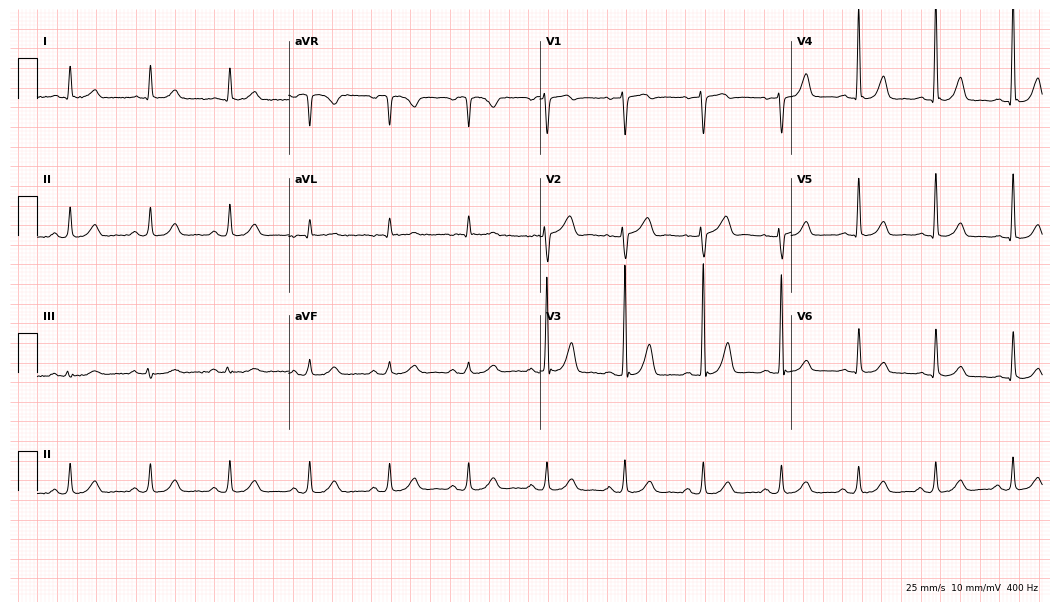
12-lead ECG from a man, 81 years old. Recorded interpretation: within normal limits.